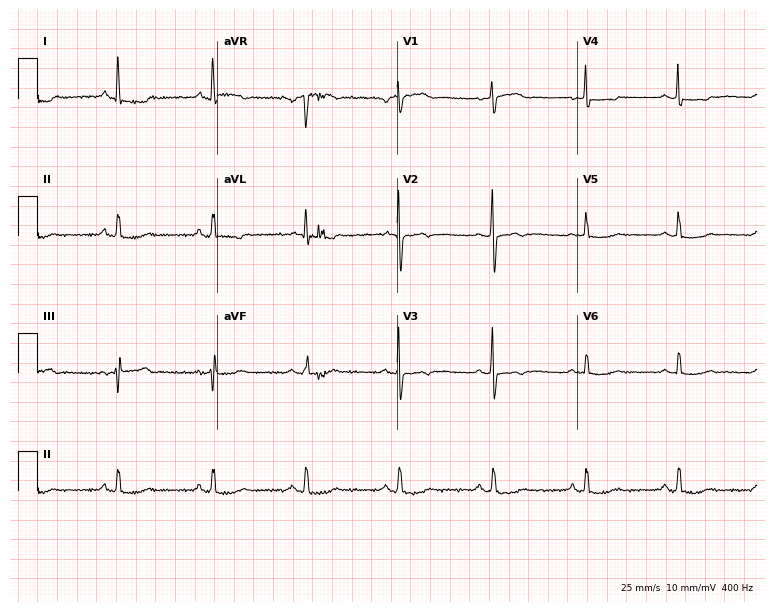
Resting 12-lead electrocardiogram. Patient: a 71-year-old female. None of these six findings is recorded: first-degree AV block, right bundle branch block, left bundle branch block, sinus bradycardia, atrial fibrillation, sinus tachycardia. Findings outside these six are not listed.